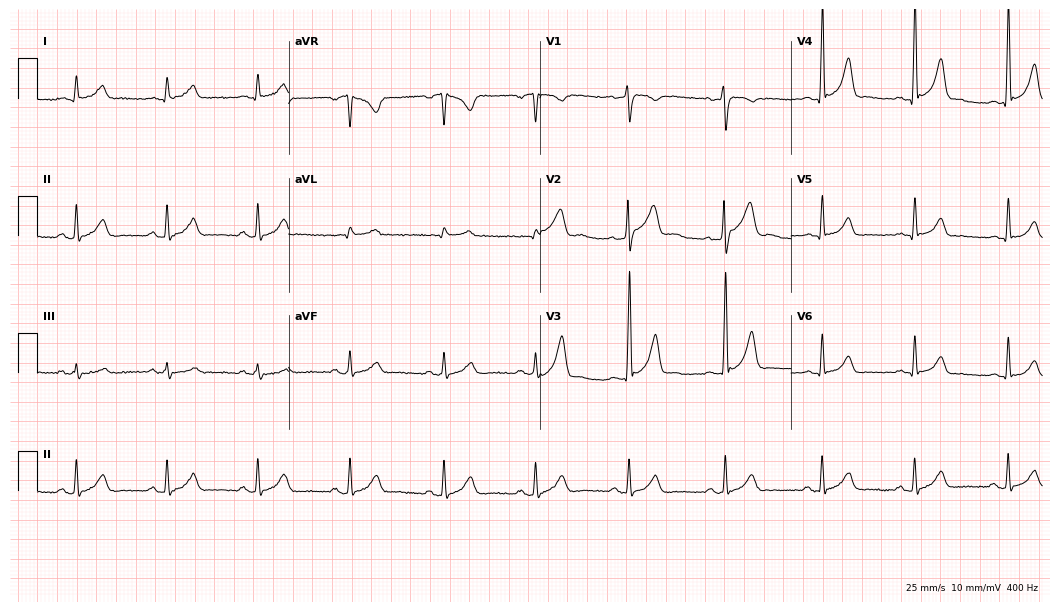
12-lead ECG from a male patient, 33 years old. Recorded interpretation: within normal limits.